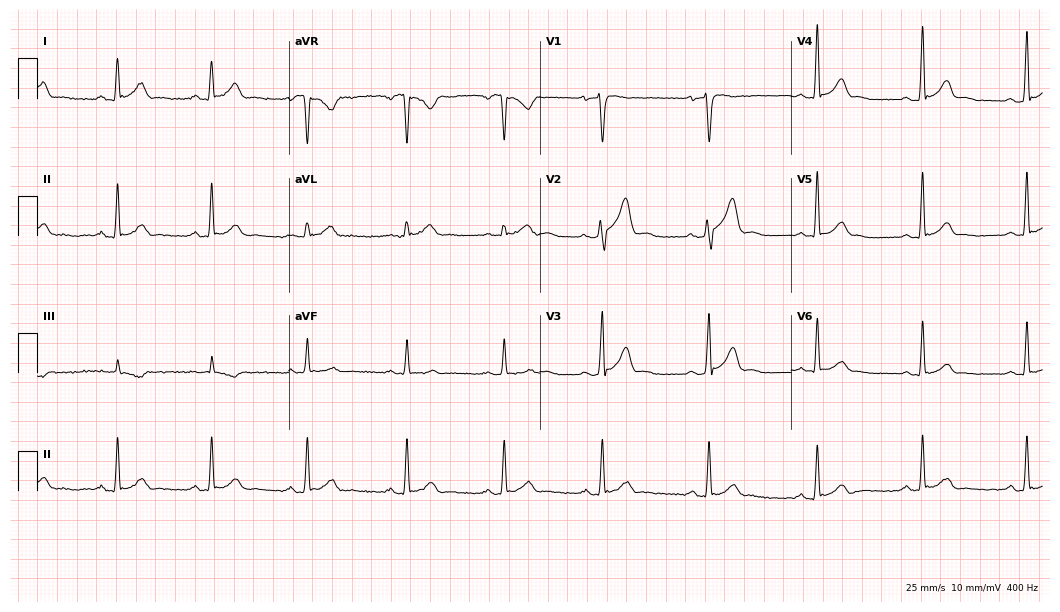
12-lead ECG from a 38-year-old man. Screened for six findings — first-degree AV block, right bundle branch block (RBBB), left bundle branch block (LBBB), sinus bradycardia, atrial fibrillation (AF), sinus tachycardia — none is recorded.